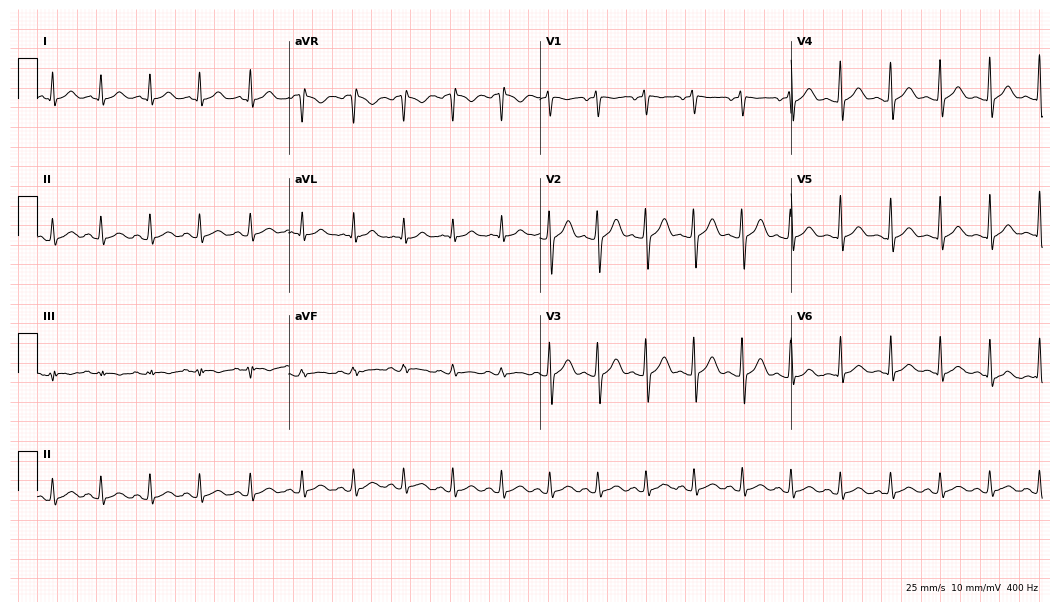
Electrocardiogram (10.2-second recording at 400 Hz), a male patient, 26 years old. Interpretation includes sinus tachycardia (a sinus rate of 100 beats per minute or more).